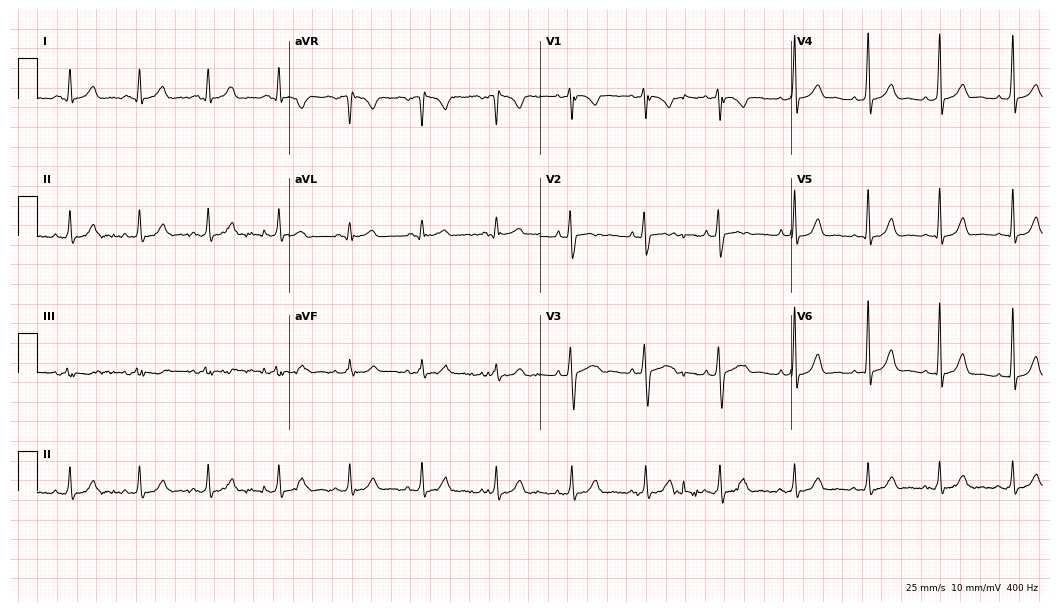
Standard 12-lead ECG recorded from a 31-year-old female patient (10.2-second recording at 400 Hz). Read as a normal ECG.